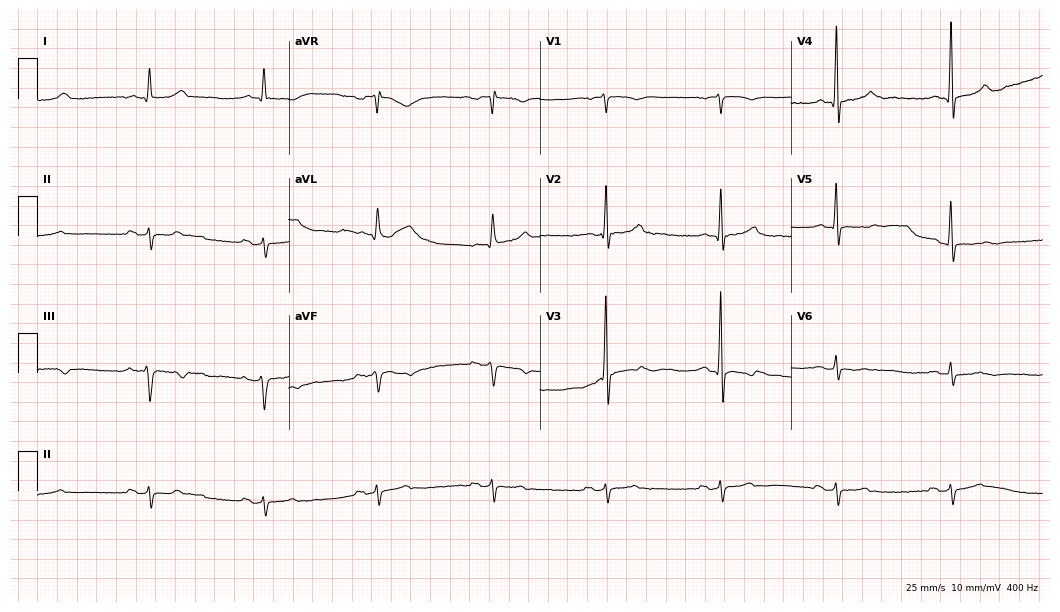
Electrocardiogram, a man, 73 years old. Of the six screened findings (first-degree AV block, right bundle branch block (RBBB), left bundle branch block (LBBB), sinus bradycardia, atrial fibrillation (AF), sinus tachycardia), none is recorded.